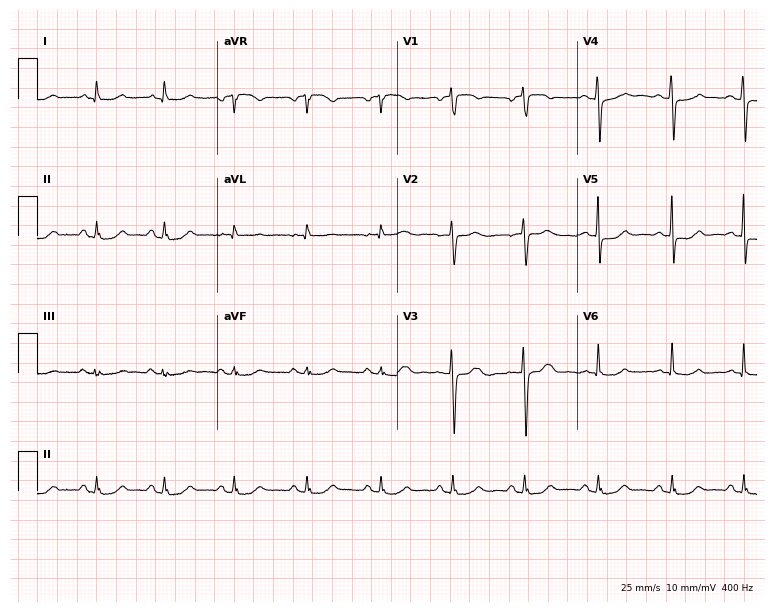
Electrocardiogram, a 55-year-old woman. Of the six screened findings (first-degree AV block, right bundle branch block (RBBB), left bundle branch block (LBBB), sinus bradycardia, atrial fibrillation (AF), sinus tachycardia), none is recorded. Findings outside these six are not listed.